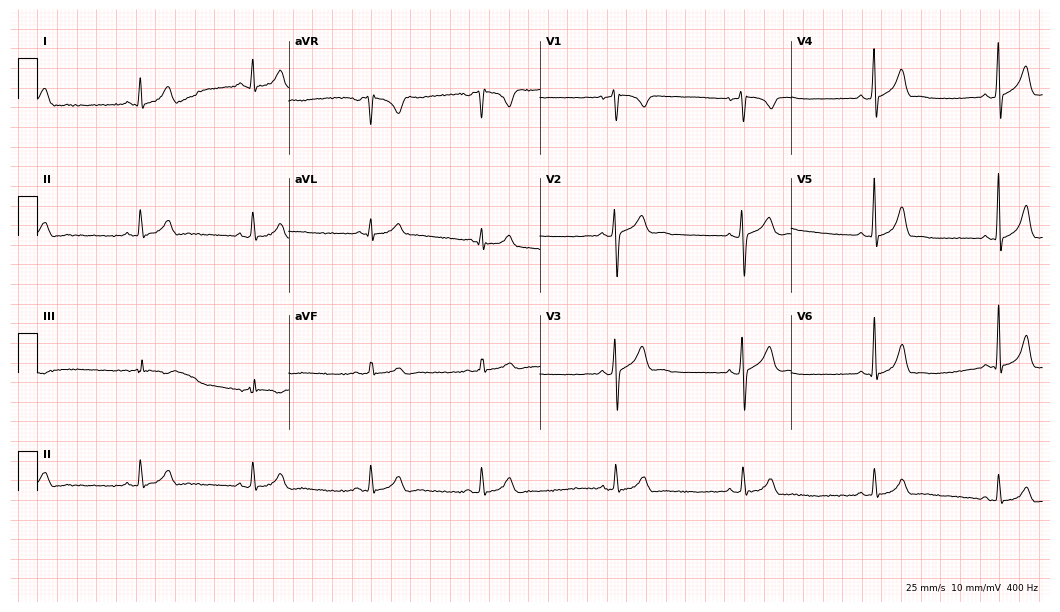
12-lead ECG from a 24-year-old male (10.2-second recording at 400 Hz). Recorded interpretation: within normal limits.